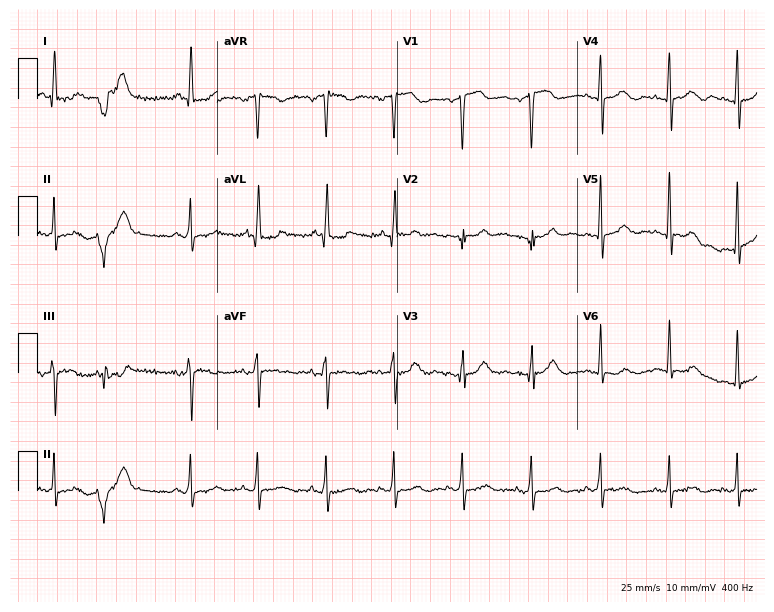
Standard 12-lead ECG recorded from a male patient, 66 years old. None of these six findings is recorded: first-degree AV block, right bundle branch block, left bundle branch block, sinus bradycardia, atrial fibrillation, sinus tachycardia. Other findings, if any, are not listed.